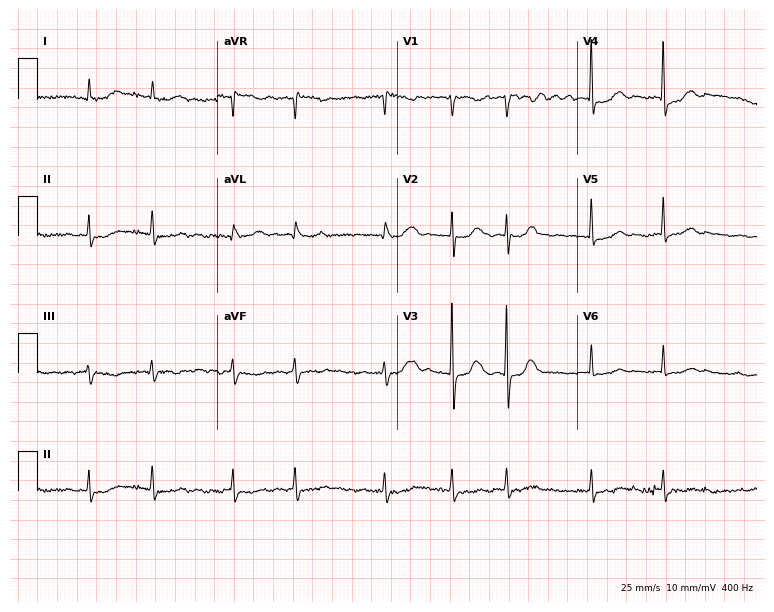
Standard 12-lead ECG recorded from a woman, 79 years old. The tracing shows atrial fibrillation.